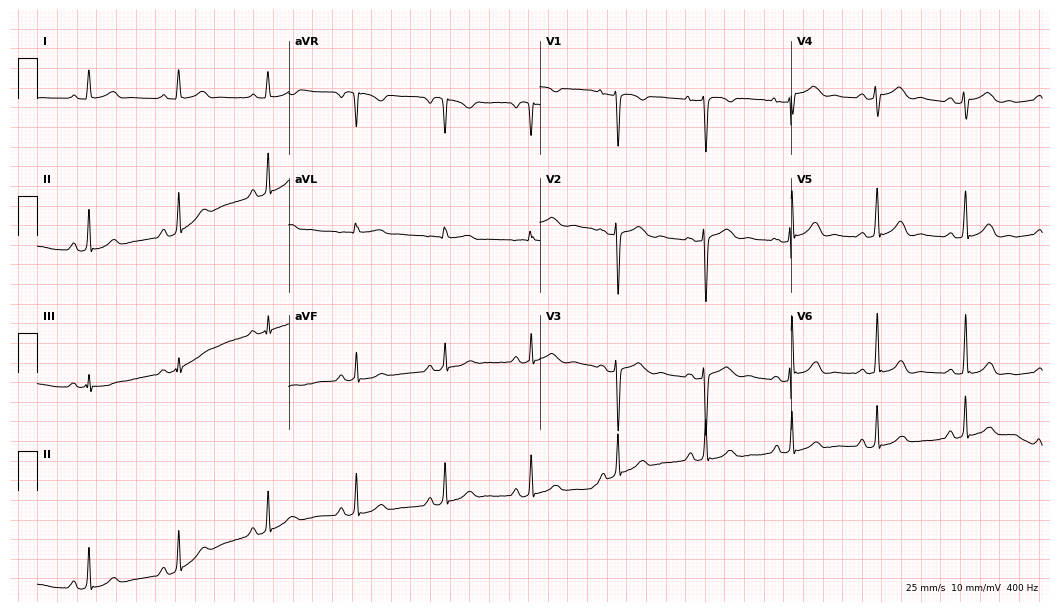
ECG — a 38-year-old female patient. Labelled as a normal ECG.